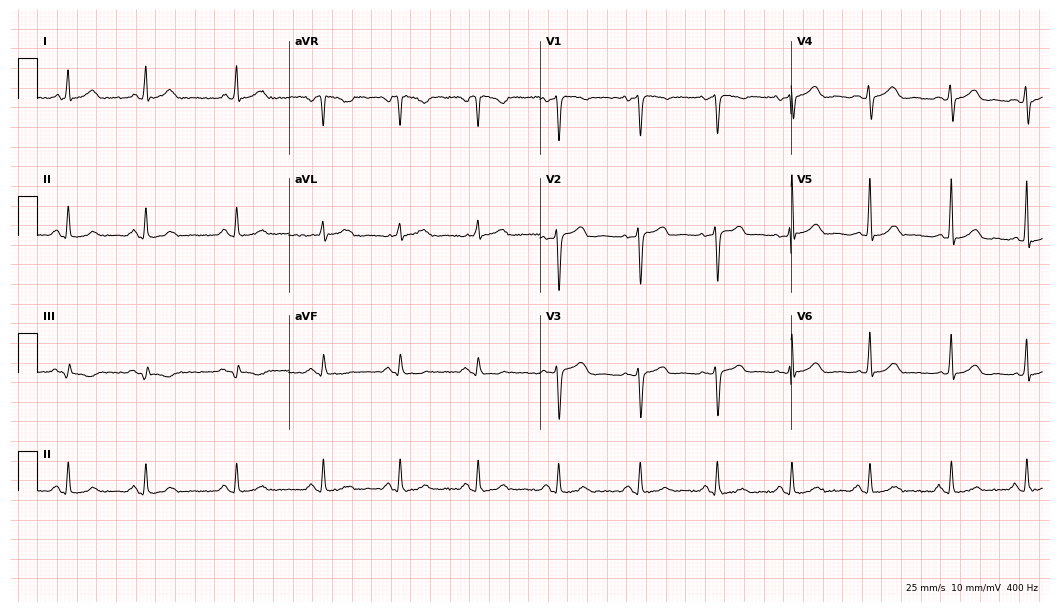
Standard 12-lead ECG recorded from a female patient, 44 years old. None of these six findings is recorded: first-degree AV block, right bundle branch block (RBBB), left bundle branch block (LBBB), sinus bradycardia, atrial fibrillation (AF), sinus tachycardia. Only these six findings were labelled.